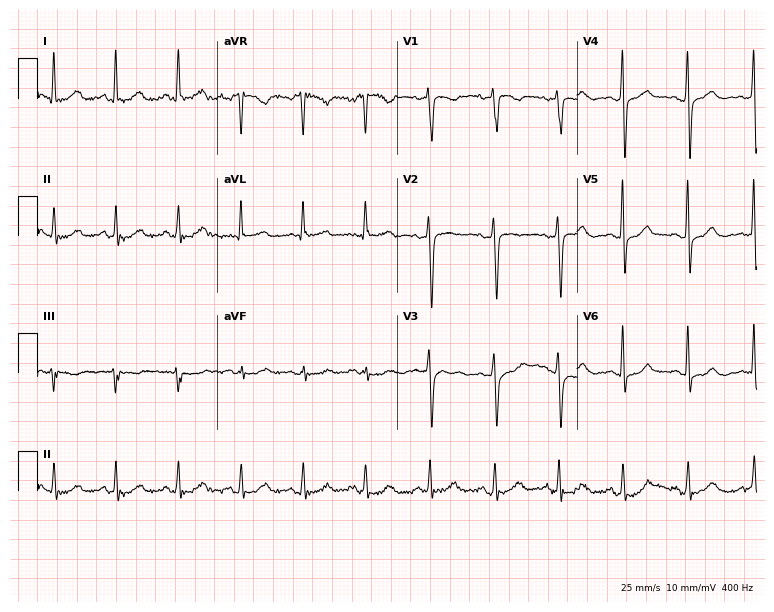
ECG (7.3-second recording at 400 Hz) — a 63-year-old woman. Labelled as a normal ECG.